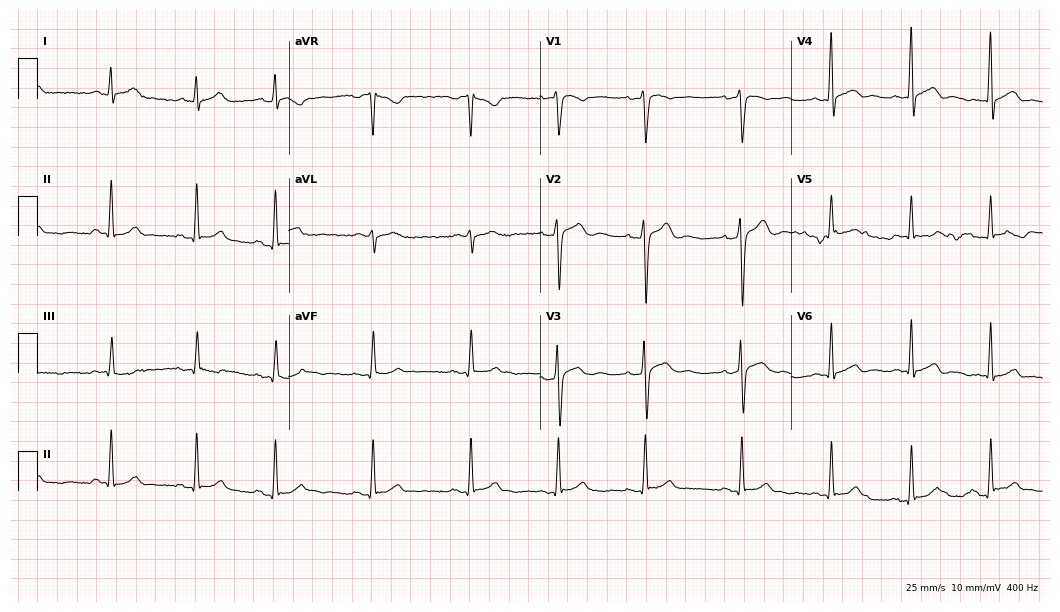
12-lead ECG from a 19-year-old male patient (10.2-second recording at 400 Hz). No first-degree AV block, right bundle branch block (RBBB), left bundle branch block (LBBB), sinus bradycardia, atrial fibrillation (AF) or sinus tachycardia recorded for this tracing.